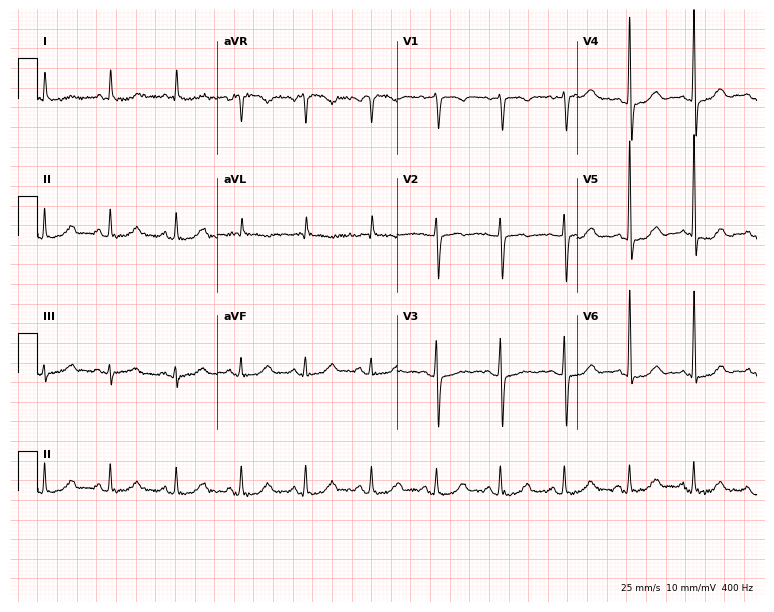
Resting 12-lead electrocardiogram (7.3-second recording at 400 Hz). Patient: a female, 66 years old. None of these six findings is recorded: first-degree AV block, right bundle branch block, left bundle branch block, sinus bradycardia, atrial fibrillation, sinus tachycardia. Other findings, if any, are not listed.